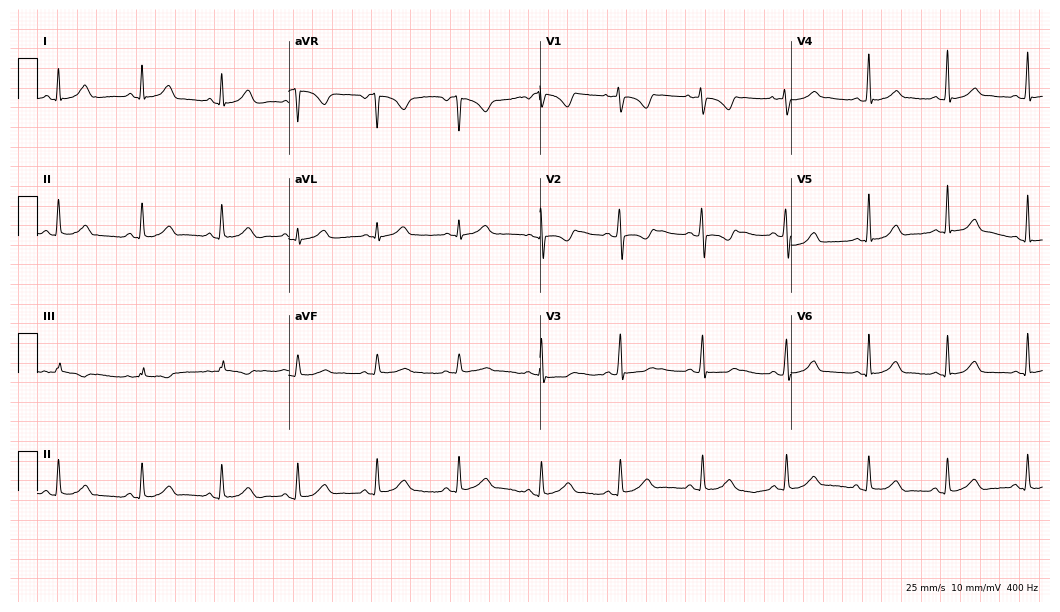
12-lead ECG from a 21-year-old woman. Labelled as a normal ECG.